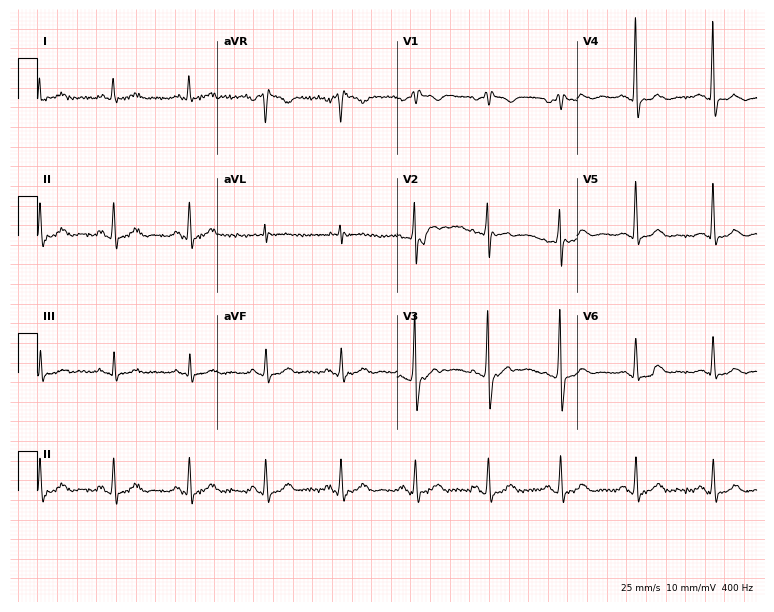
Resting 12-lead electrocardiogram. Patient: a male, 74 years old. None of these six findings is recorded: first-degree AV block, right bundle branch block, left bundle branch block, sinus bradycardia, atrial fibrillation, sinus tachycardia. Findings outside these six are not listed.